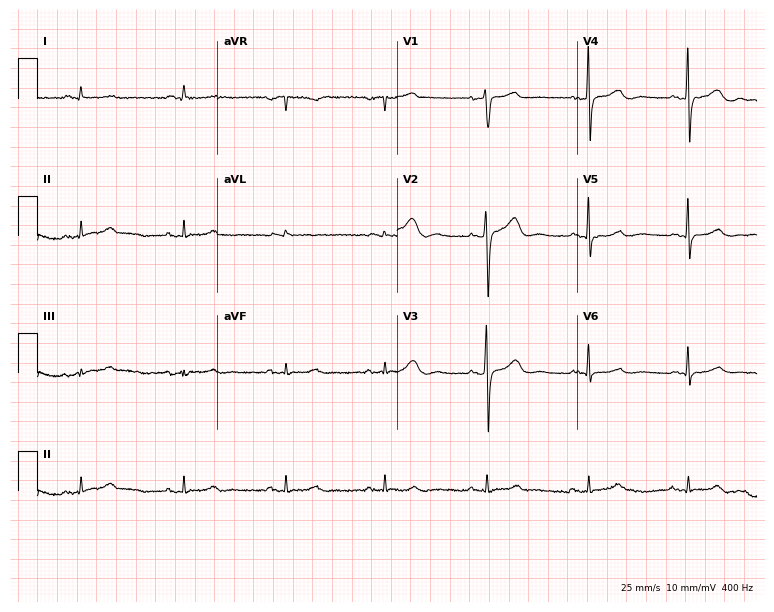
Electrocardiogram, a male, 64 years old. Overall reading on record: normal ECG.